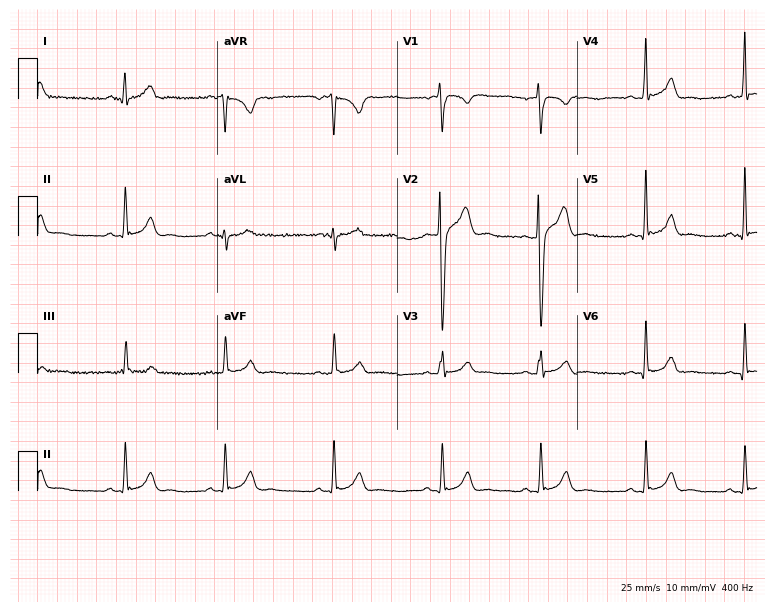
Electrocardiogram, a 21-year-old male patient. Overall reading on record: normal ECG.